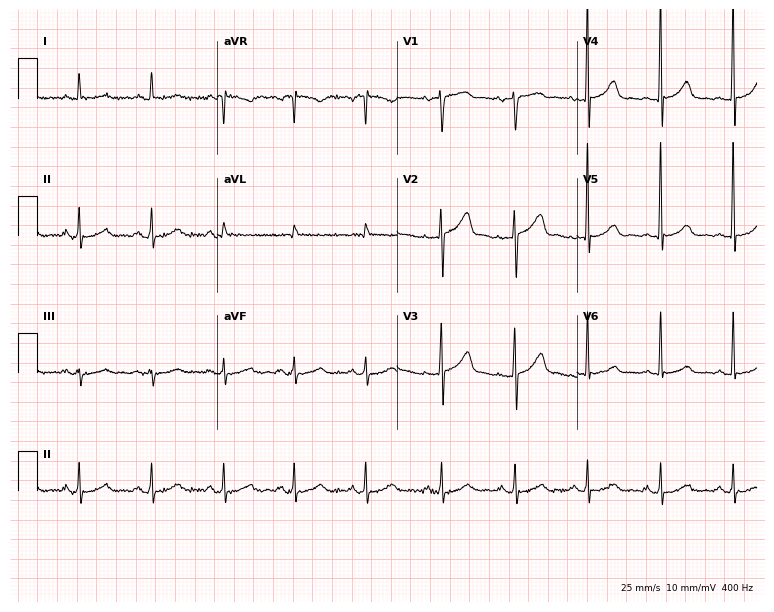
12-lead ECG from a 59-year-old woman. Recorded interpretation: within normal limits.